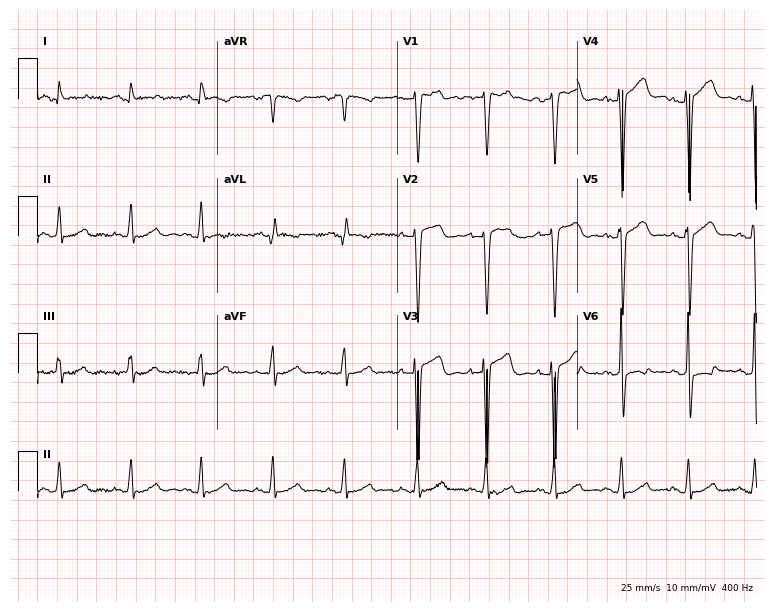
Electrocardiogram, a 23-year-old female patient. Of the six screened findings (first-degree AV block, right bundle branch block, left bundle branch block, sinus bradycardia, atrial fibrillation, sinus tachycardia), none is recorded.